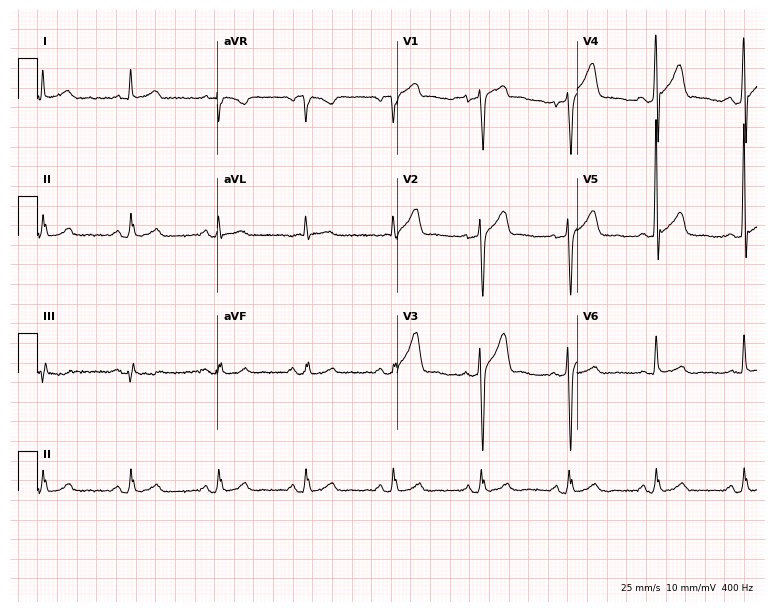
Resting 12-lead electrocardiogram (7.3-second recording at 400 Hz). Patient: a male, 60 years old. Read as a normal ECG.